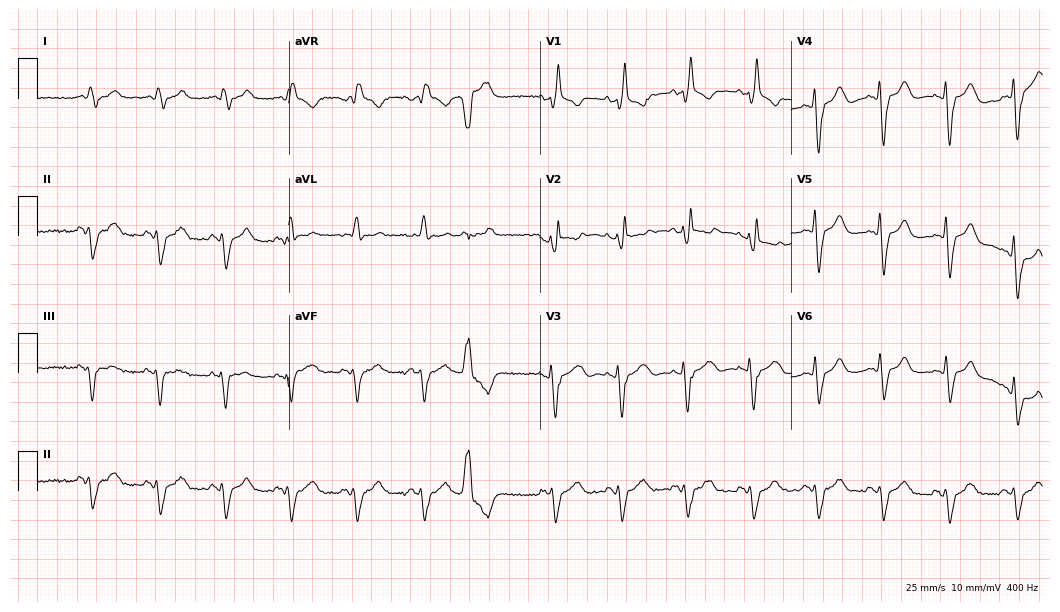
12-lead ECG from a 74-year-old male. Findings include right bundle branch block.